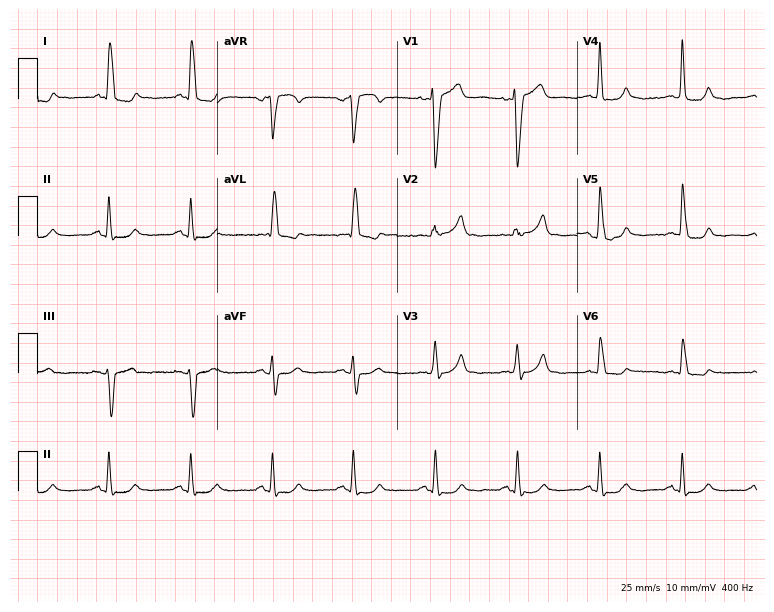
12-lead ECG from a 78-year-old male patient. No first-degree AV block, right bundle branch block, left bundle branch block, sinus bradycardia, atrial fibrillation or sinus tachycardia recorded for this tracing. Findings outside these six are not listed.